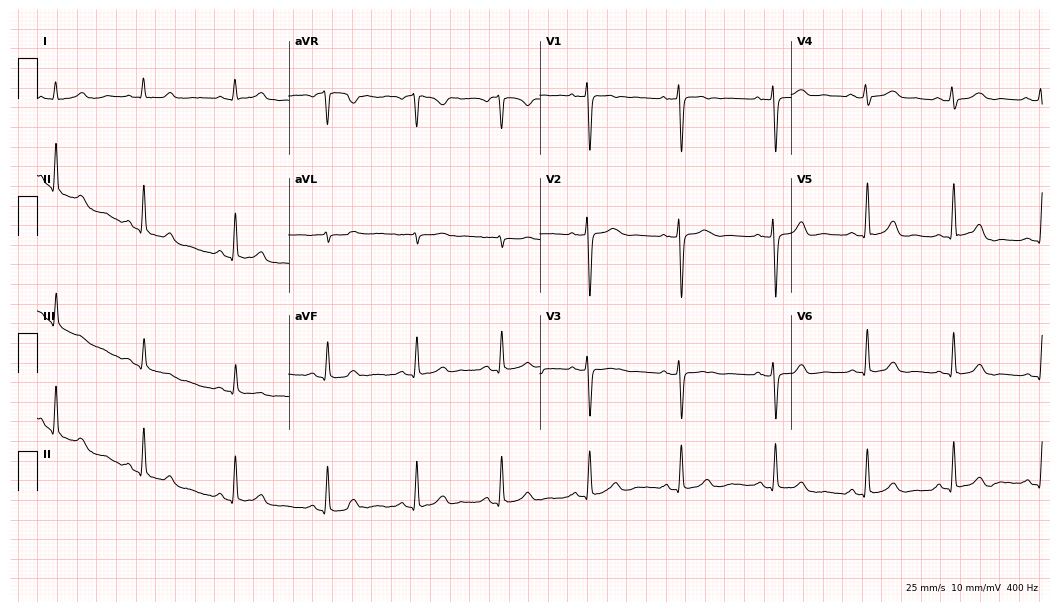
Standard 12-lead ECG recorded from a woman, 34 years old. Read as a normal ECG.